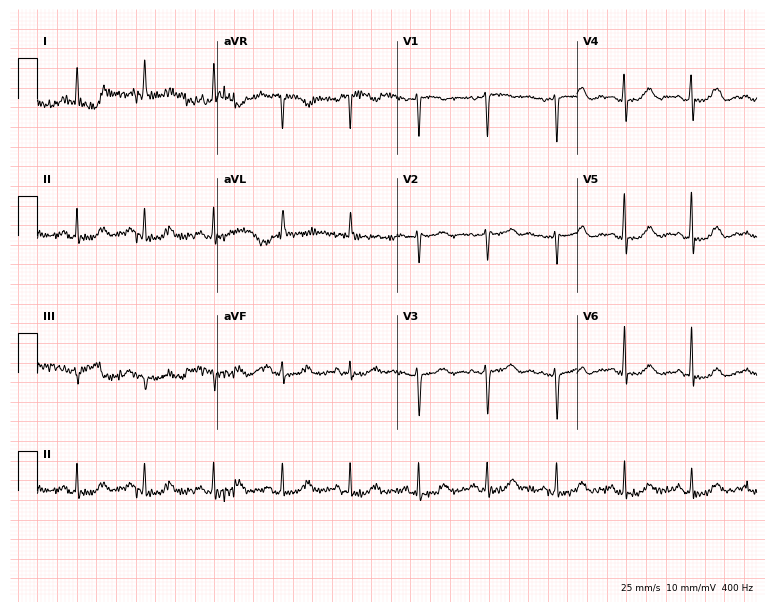
12-lead ECG from a female, 80 years old. Recorded interpretation: within normal limits.